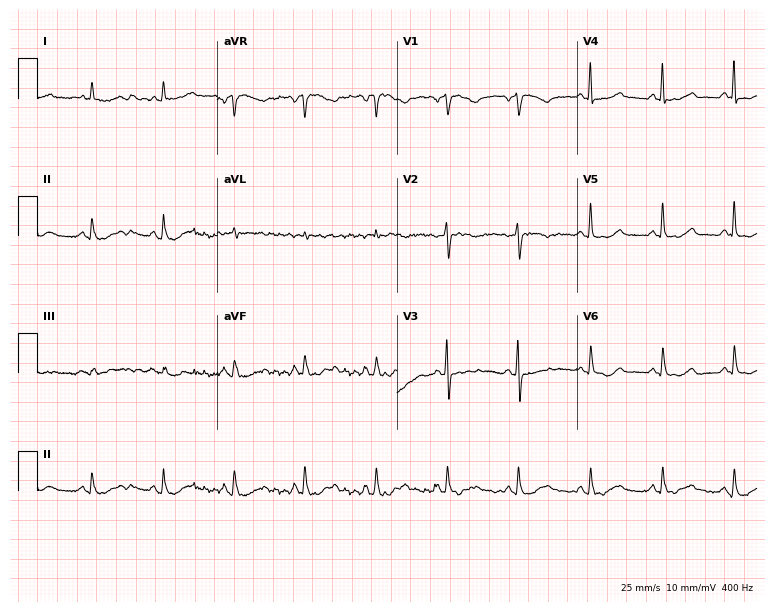
Resting 12-lead electrocardiogram. Patient: a 72-year-old female. Read as a normal ECG.